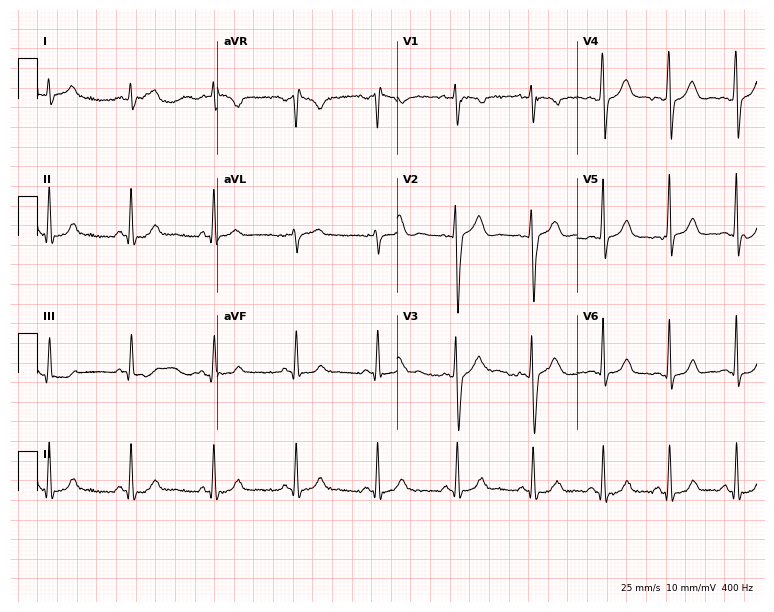
ECG (7.3-second recording at 400 Hz) — a 24-year-old man. Labelled as a normal ECG.